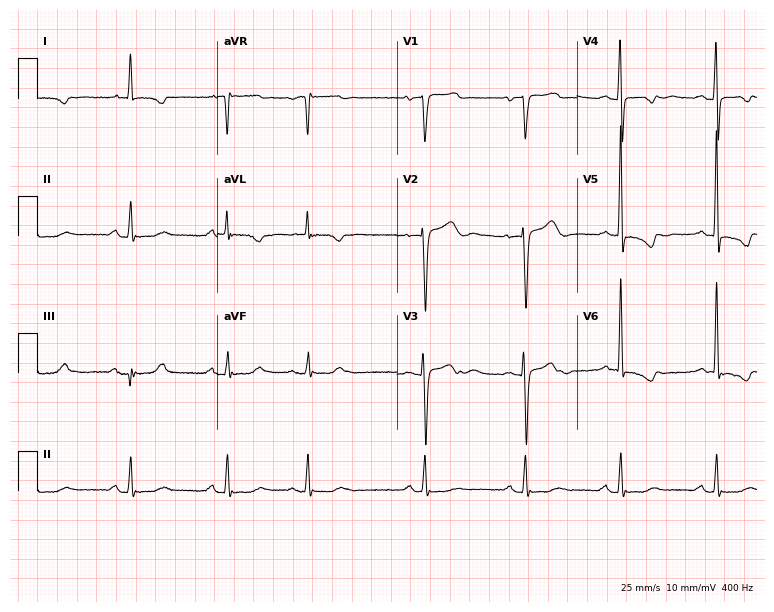
Standard 12-lead ECG recorded from a 75-year-old female patient. None of these six findings is recorded: first-degree AV block, right bundle branch block, left bundle branch block, sinus bradycardia, atrial fibrillation, sinus tachycardia. Other findings, if any, are not listed.